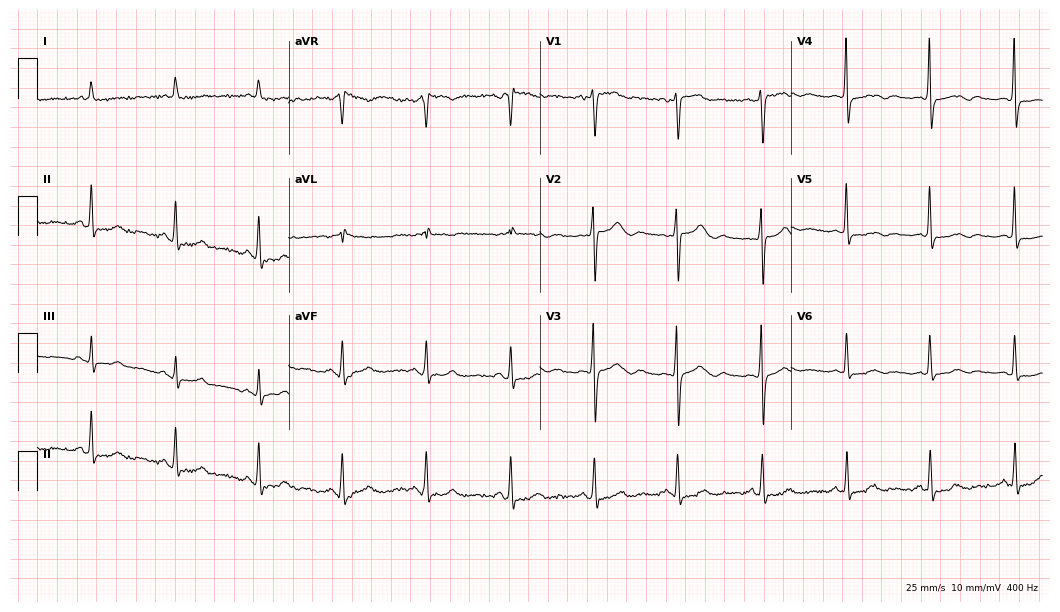
Electrocardiogram, a 59-year-old female. Of the six screened findings (first-degree AV block, right bundle branch block, left bundle branch block, sinus bradycardia, atrial fibrillation, sinus tachycardia), none is recorded.